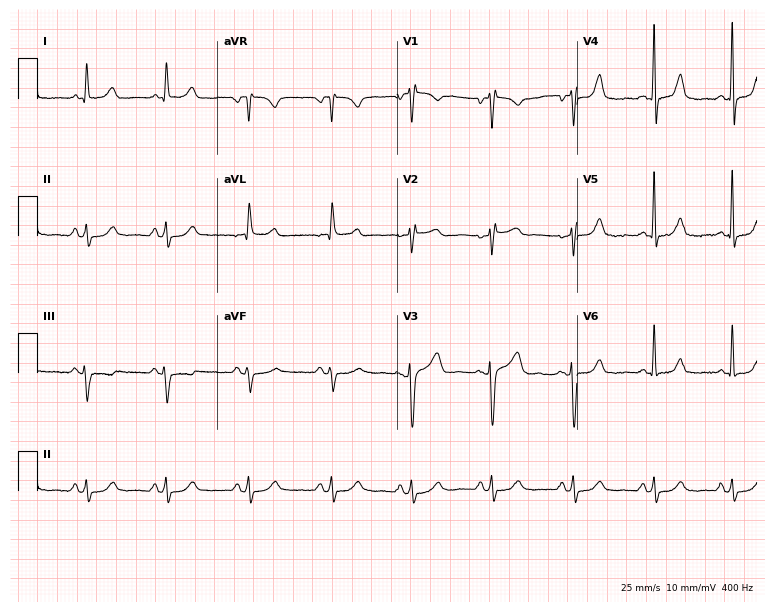
Resting 12-lead electrocardiogram (7.3-second recording at 400 Hz). Patient: a 55-year-old woman. Read as a normal ECG.